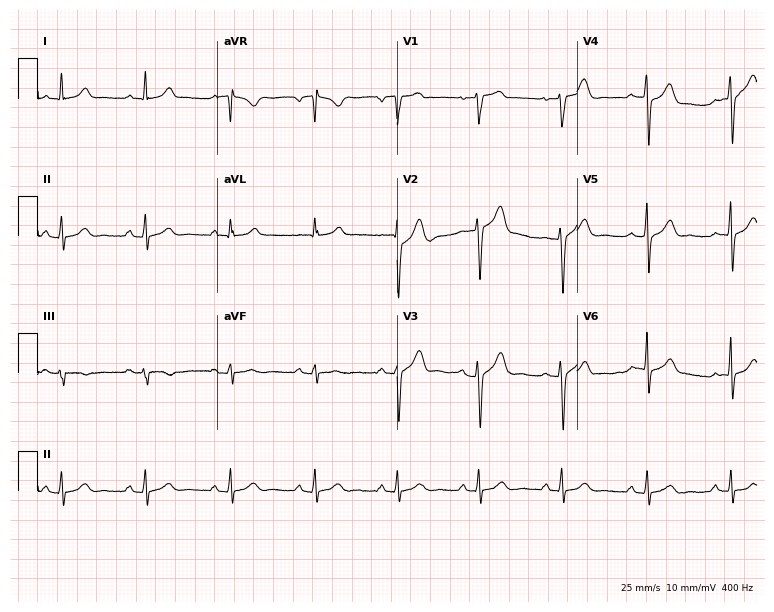
Electrocardiogram (7.3-second recording at 400 Hz), a male patient, 51 years old. Overall reading on record: normal ECG.